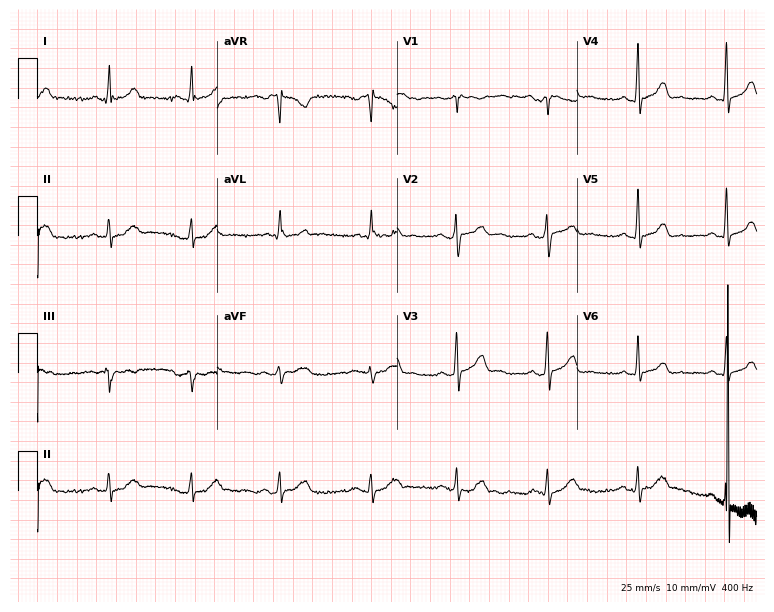
Electrocardiogram, a woman, 32 years old. Overall reading on record: normal ECG.